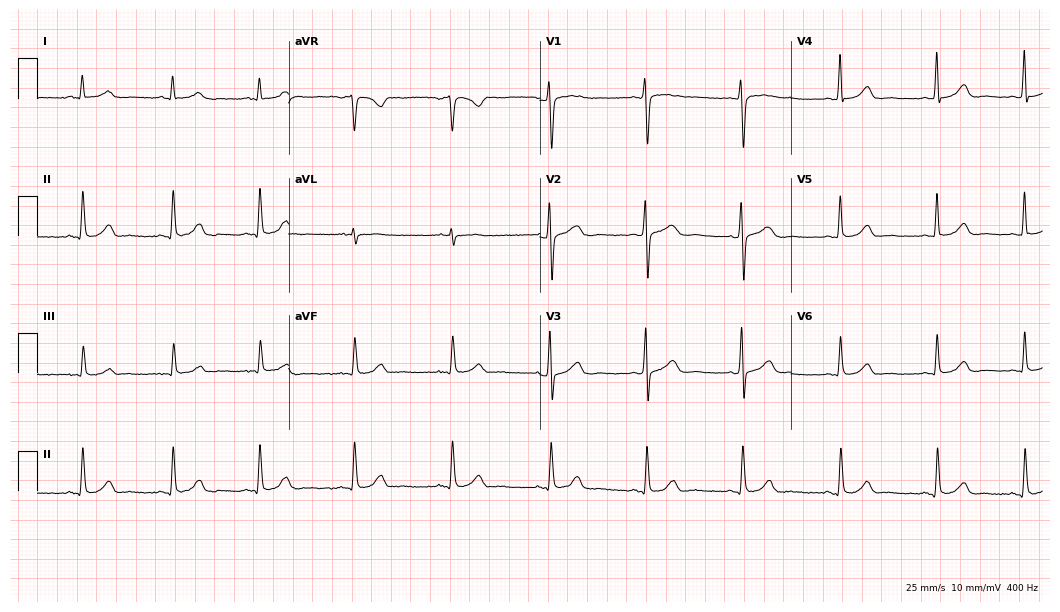
12-lead ECG (10.2-second recording at 400 Hz) from a 35-year-old female. Labelled as a normal ECG.